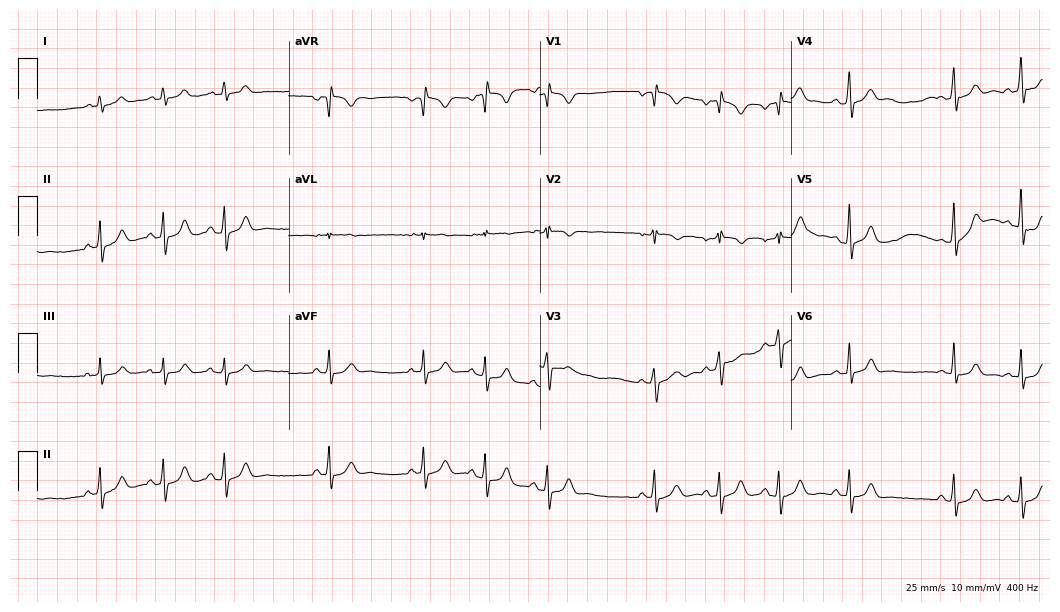
12-lead ECG from a woman, 20 years old. Screened for six findings — first-degree AV block, right bundle branch block, left bundle branch block, sinus bradycardia, atrial fibrillation, sinus tachycardia — none is recorded. Other findings, if any, are not listed.